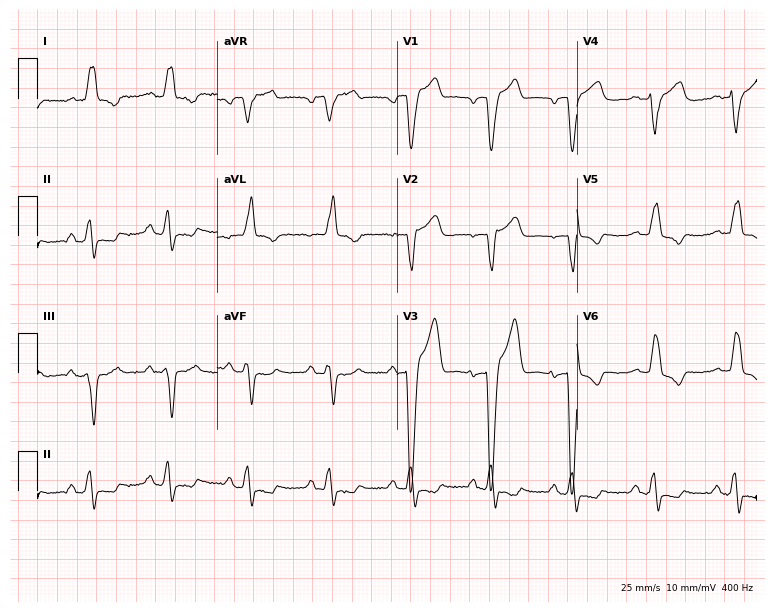
ECG (7.3-second recording at 400 Hz) — an 83-year-old male. Findings include left bundle branch block (LBBB).